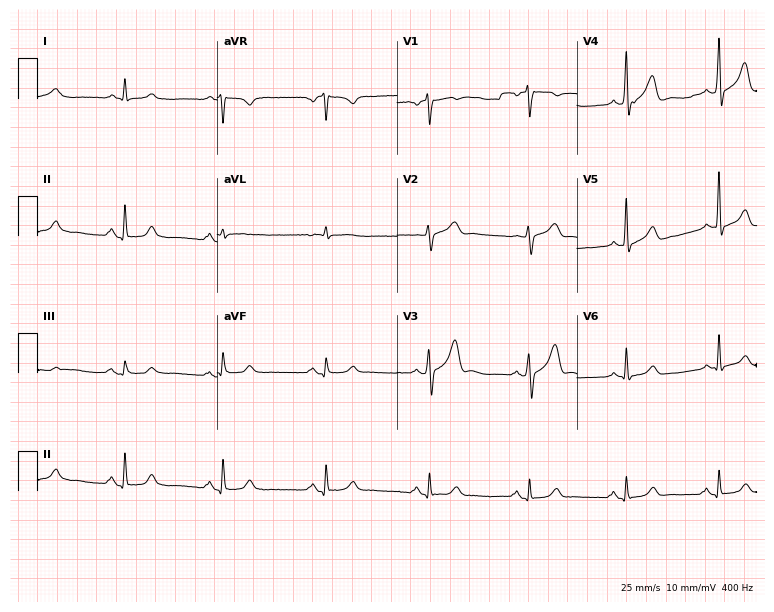
ECG — a 33-year-old female. Screened for six findings — first-degree AV block, right bundle branch block (RBBB), left bundle branch block (LBBB), sinus bradycardia, atrial fibrillation (AF), sinus tachycardia — none is recorded.